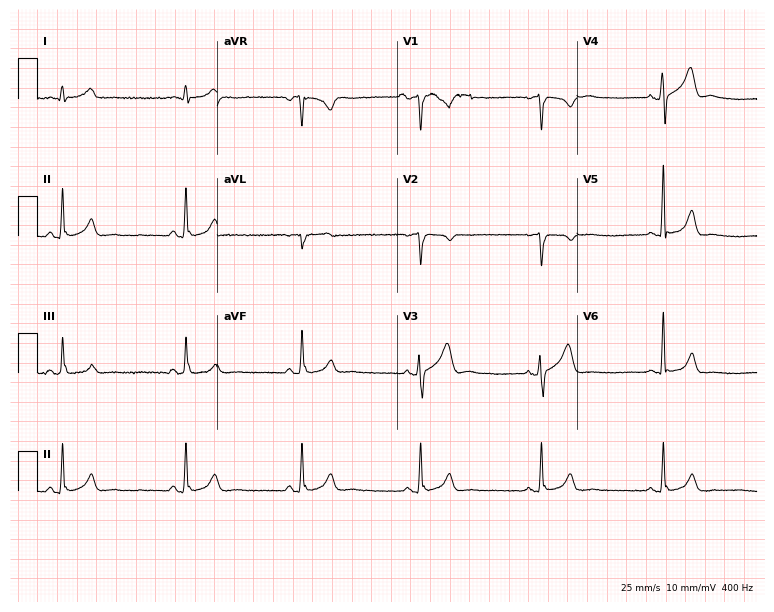
Resting 12-lead electrocardiogram. Patient: a male, 38 years old. Read as a normal ECG.